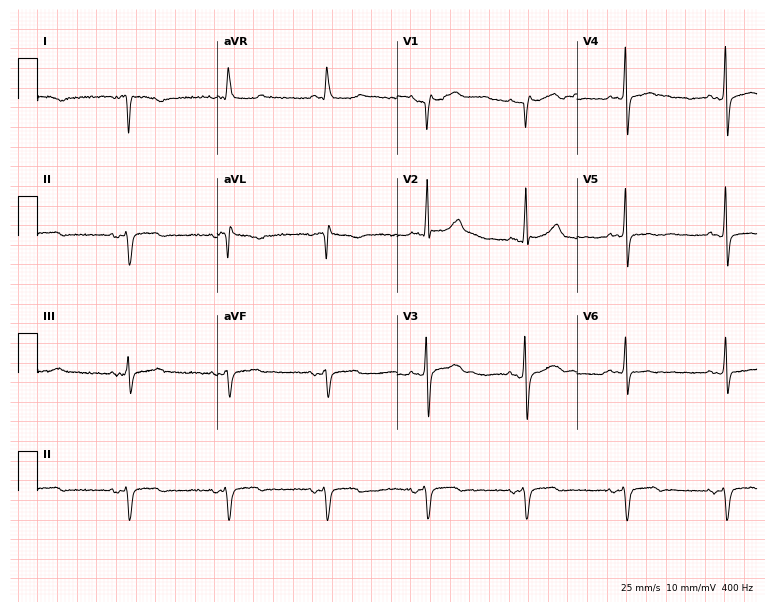
Electrocardiogram, a female, 76 years old. Of the six screened findings (first-degree AV block, right bundle branch block, left bundle branch block, sinus bradycardia, atrial fibrillation, sinus tachycardia), none is recorded. Other findings, if any, are not listed.